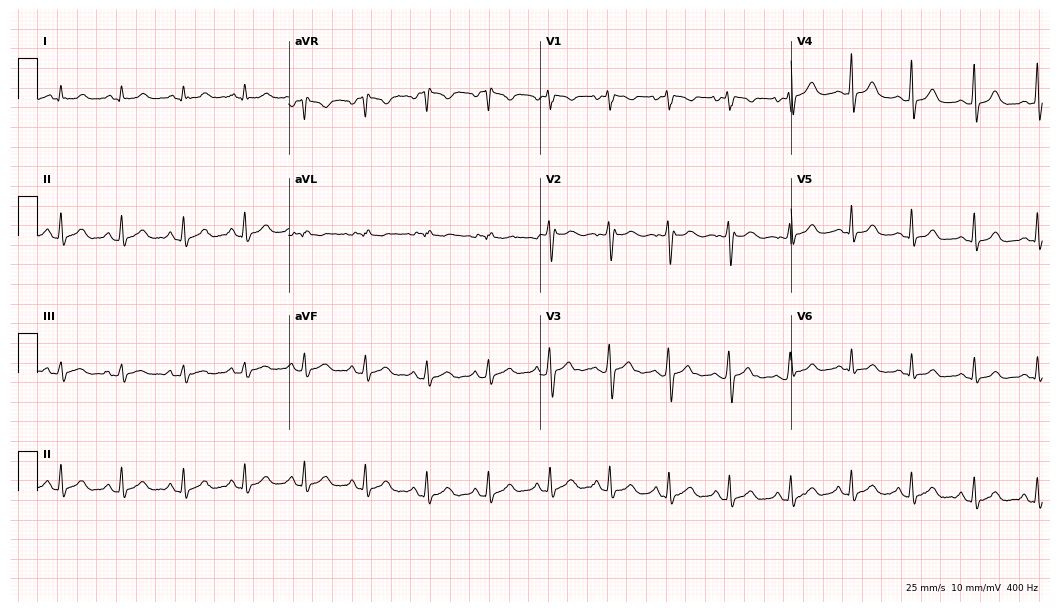
12-lead ECG from a 17-year-old woman (10.2-second recording at 400 Hz). Recorded interpretation: within normal limits.